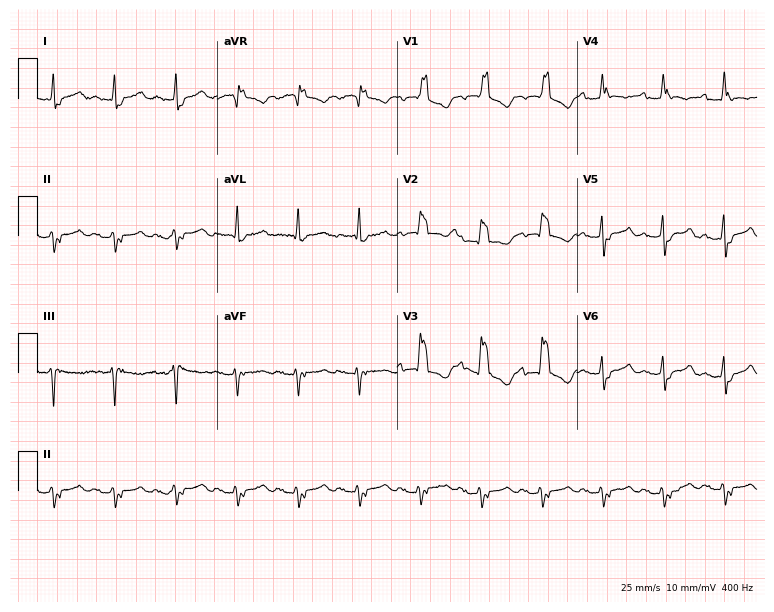
Resting 12-lead electrocardiogram (7.3-second recording at 400 Hz). Patient: a woman, 68 years old. The tracing shows right bundle branch block.